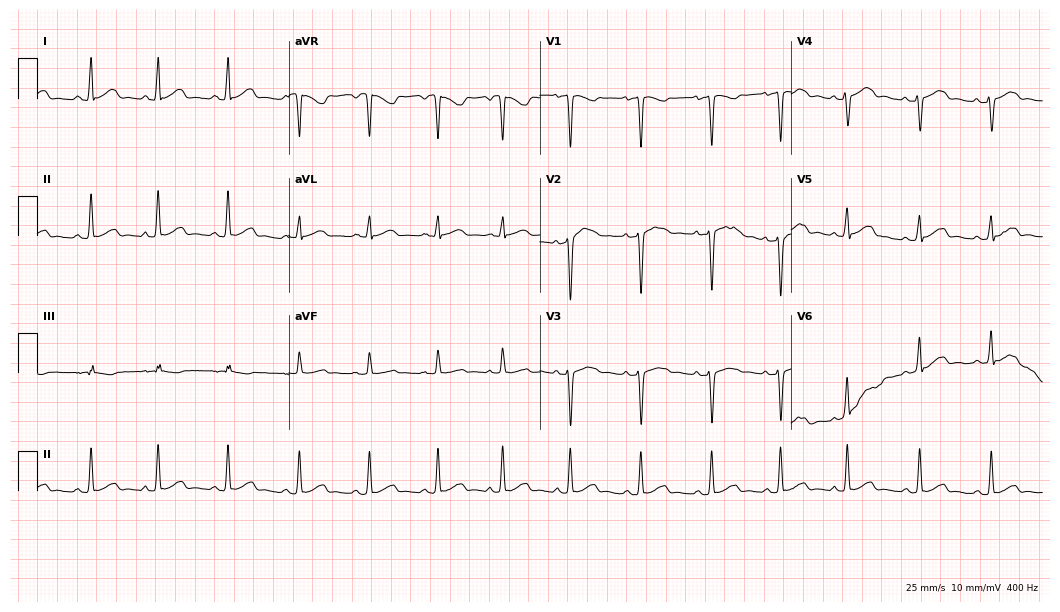
Electrocardiogram (10.2-second recording at 400 Hz), a woman, 31 years old. Overall reading on record: normal ECG.